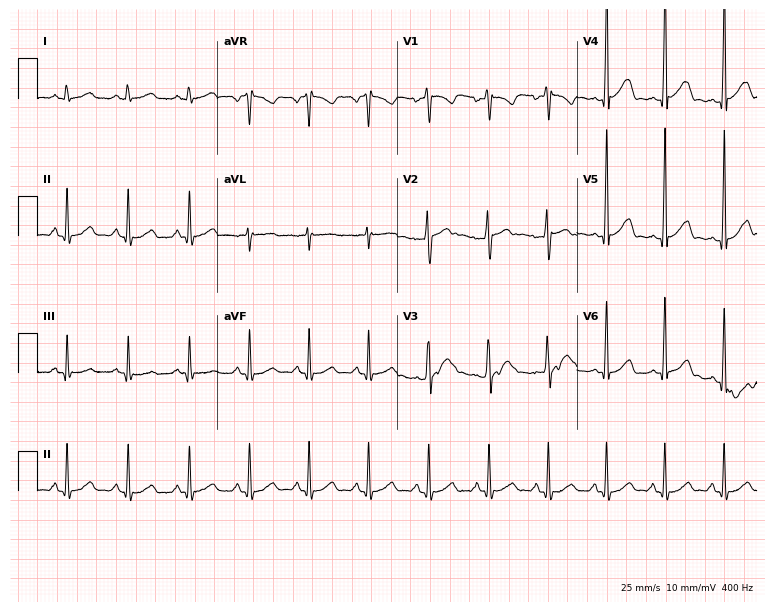
Standard 12-lead ECG recorded from a 17-year-old woman (7.3-second recording at 400 Hz). Read as a normal ECG.